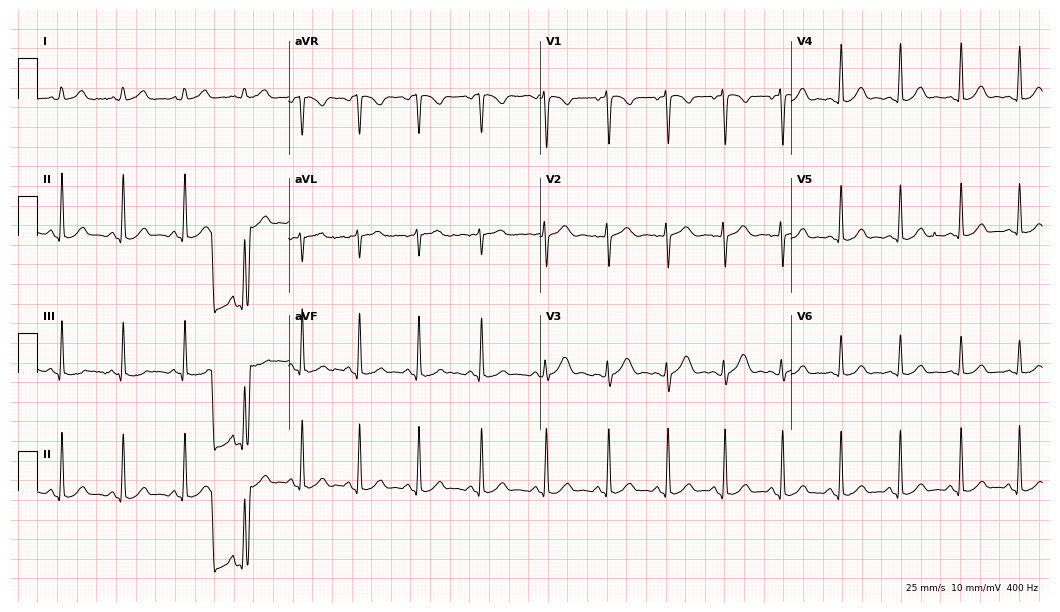
12-lead ECG from a female patient, 22 years old. Screened for six findings — first-degree AV block, right bundle branch block, left bundle branch block, sinus bradycardia, atrial fibrillation, sinus tachycardia — none is recorded. Findings outside these six are not listed.